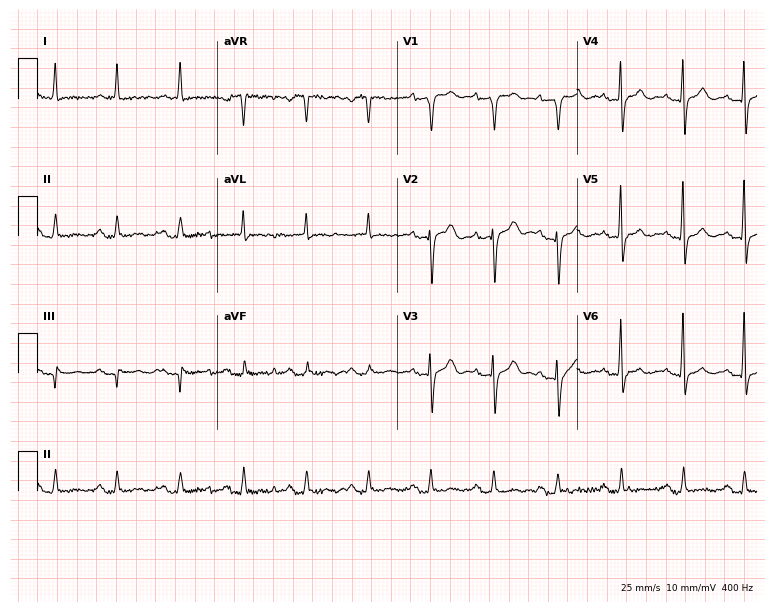
ECG (7.3-second recording at 400 Hz) — a 70-year-old male patient. Screened for six findings — first-degree AV block, right bundle branch block, left bundle branch block, sinus bradycardia, atrial fibrillation, sinus tachycardia — none is recorded.